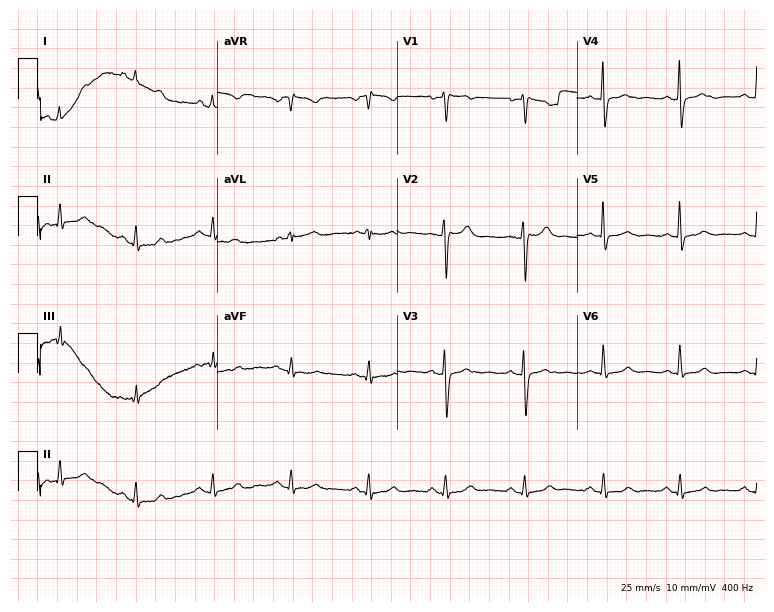
12-lead ECG from a 33-year-old female. Labelled as a normal ECG.